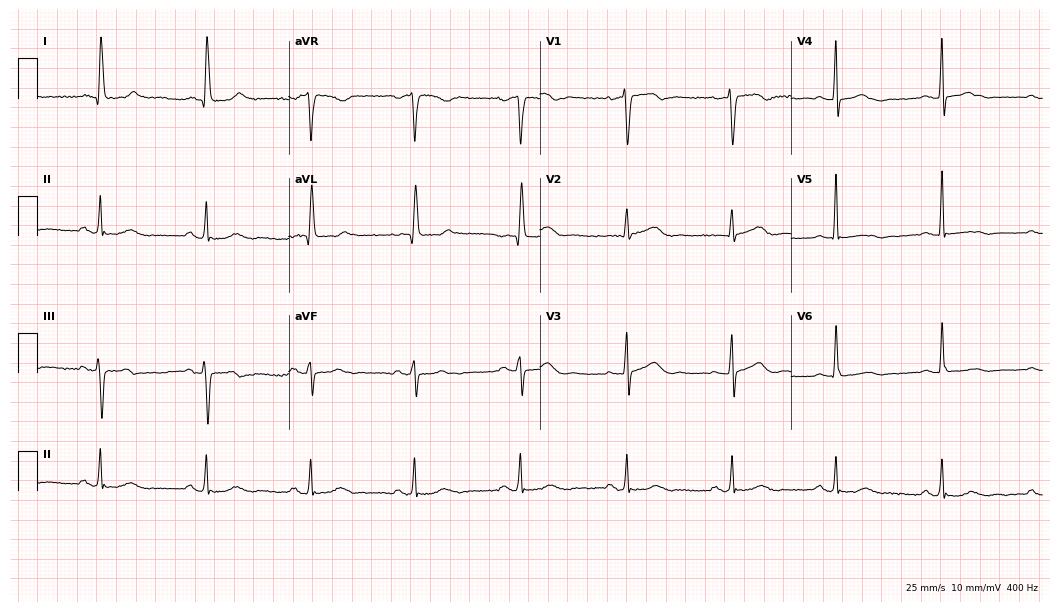
Resting 12-lead electrocardiogram. Patient: a female, 80 years old. Read as a normal ECG.